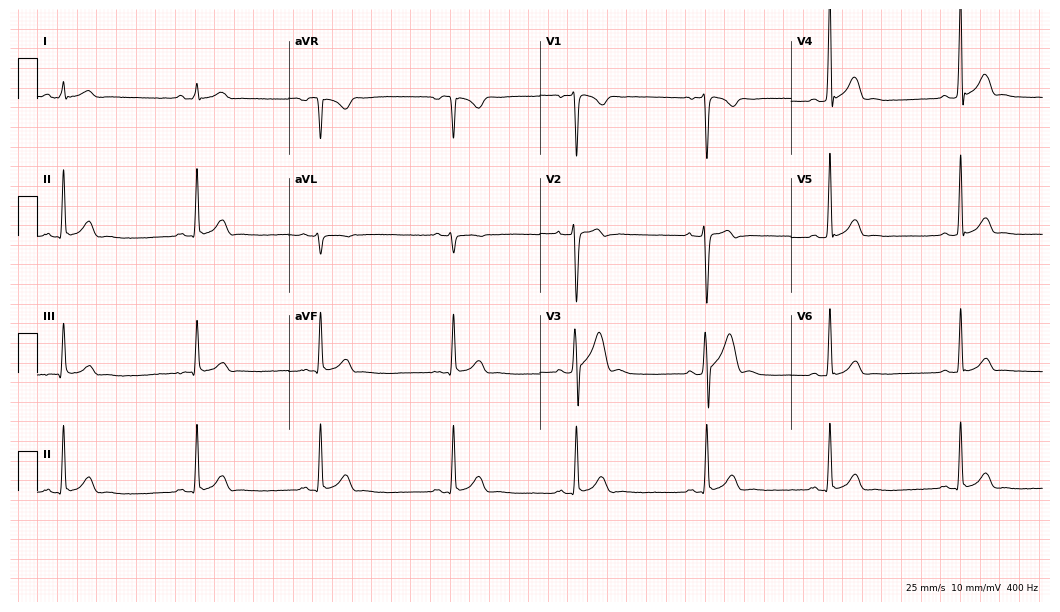
Electrocardiogram, a male patient, 29 years old. Interpretation includes sinus bradycardia (a sinus rate of 50 beats per minute or less).